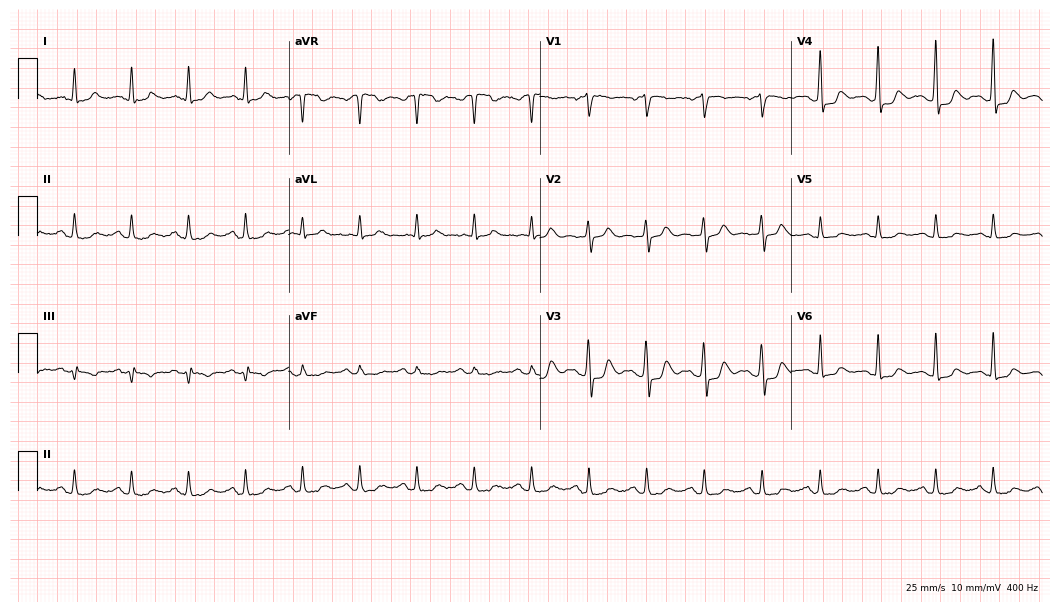
Electrocardiogram, a female, 63 years old. Interpretation includes sinus tachycardia (a sinus rate of 100 beats per minute or more).